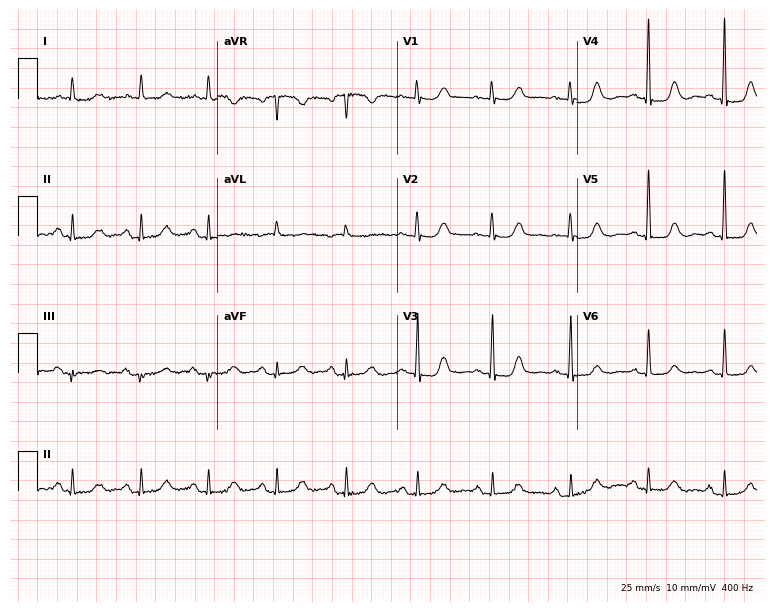
12-lead ECG from a 73-year-old female (7.3-second recording at 400 Hz). No first-degree AV block, right bundle branch block, left bundle branch block, sinus bradycardia, atrial fibrillation or sinus tachycardia recorded for this tracing.